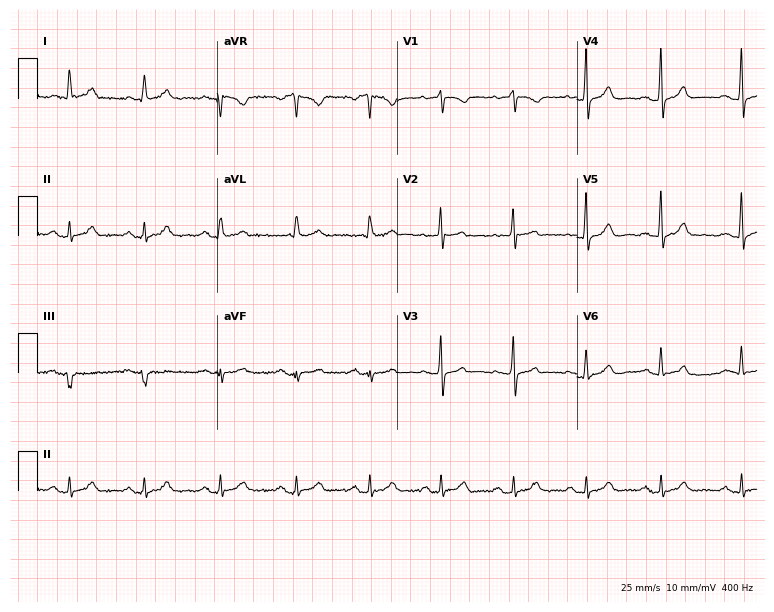
Electrocardiogram (7.3-second recording at 400 Hz), a 63-year-old female patient. Overall reading on record: normal ECG.